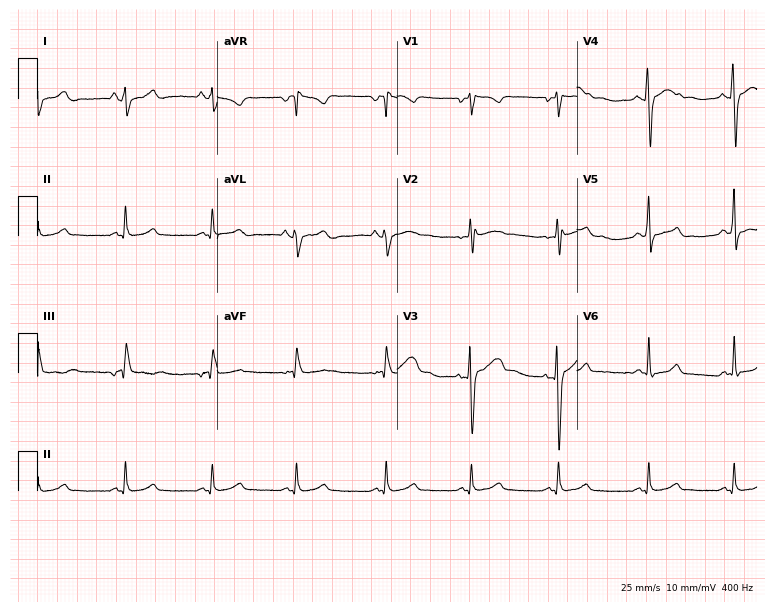
12-lead ECG (7.3-second recording at 400 Hz) from a male, 30 years old. Screened for six findings — first-degree AV block, right bundle branch block (RBBB), left bundle branch block (LBBB), sinus bradycardia, atrial fibrillation (AF), sinus tachycardia — none is recorded. Other findings, if any, are not listed.